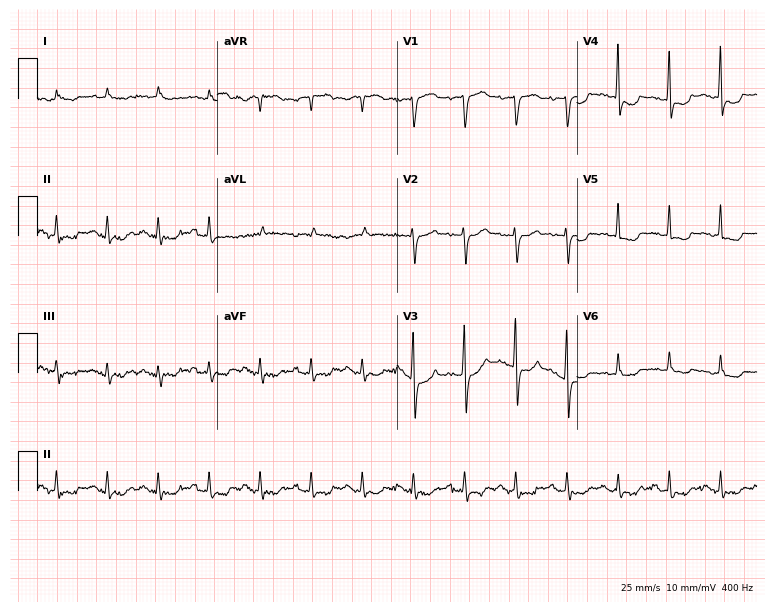
ECG (7.3-second recording at 400 Hz) — a female, 75 years old. Findings include sinus tachycardia (a sinus rate of 100 beats per minute or more).